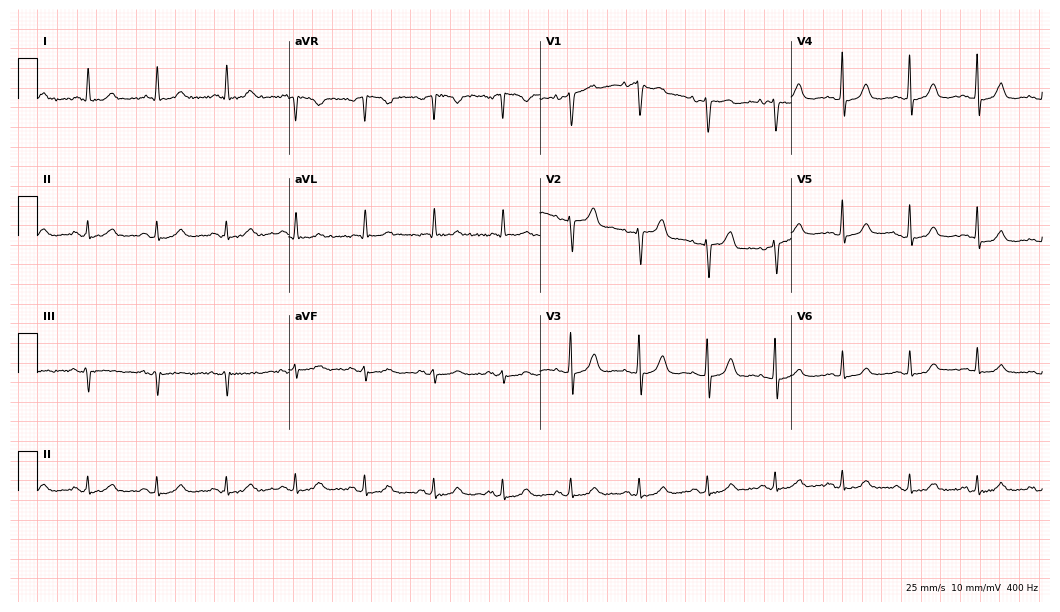
Standard 12-lead ECG recorded from an 83-year-old female (10.2-second recording at 400 Hz). Read as a normal ECG.